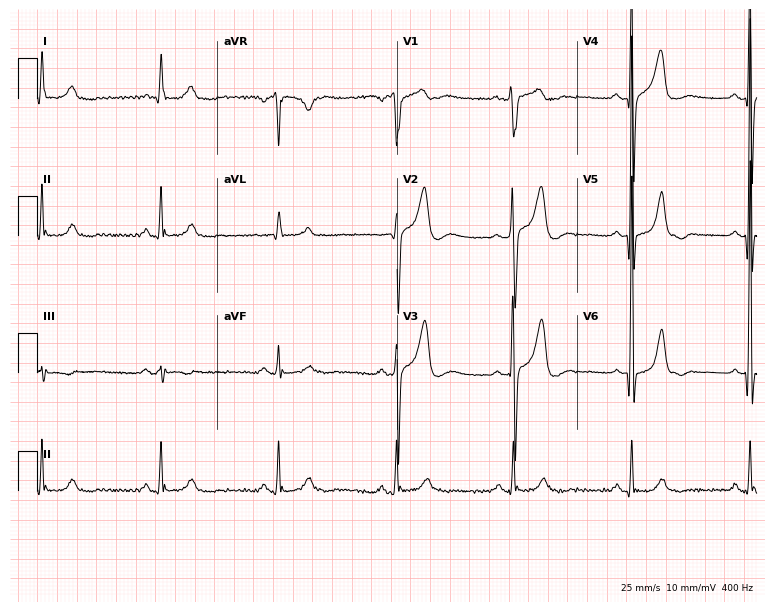
Standard 12-lead ECG recorded from a 68-year-old male. None of these six findings is recorded: first-degree AV block, right bundle branch block, left bundle branch block, sinus bradycardia, atrial fibrillation, sinus tachycardia.